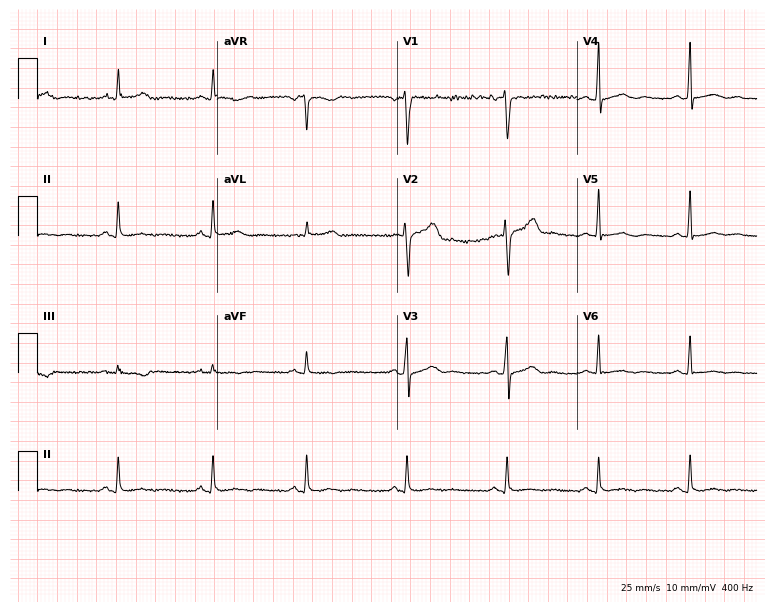
ECG — a male patient, 32 years old. Screened for six findings — first-degree AV block, right bundle branch block, left bundle branch block, sinus bradycardia, atrial fibrillation, sinus tachycardia — none is recorded.